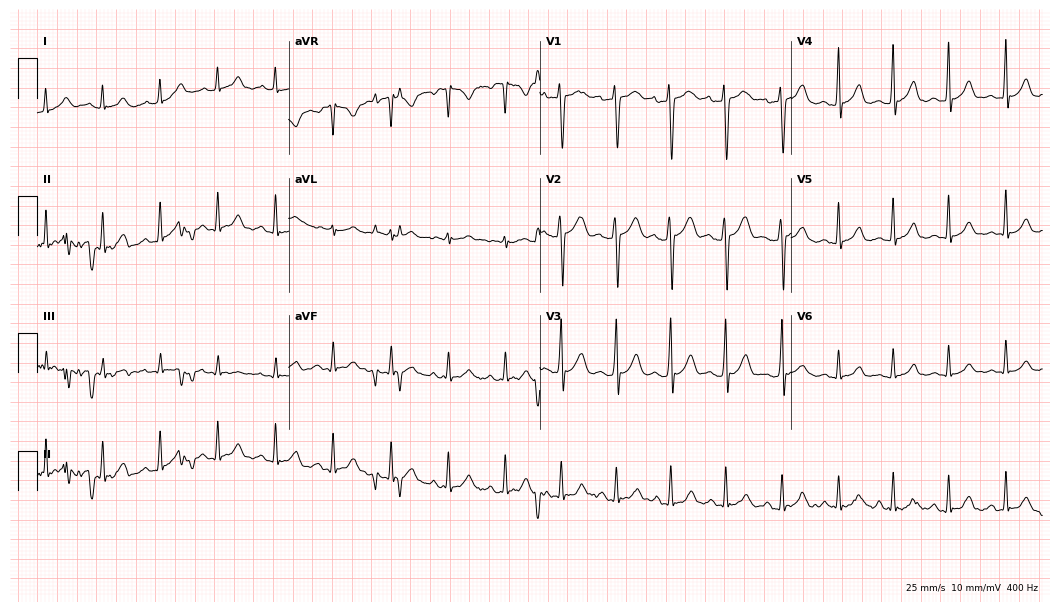
Electrocardiogram, a 32-year-old male patient. Overall reading on record: normal ECG.